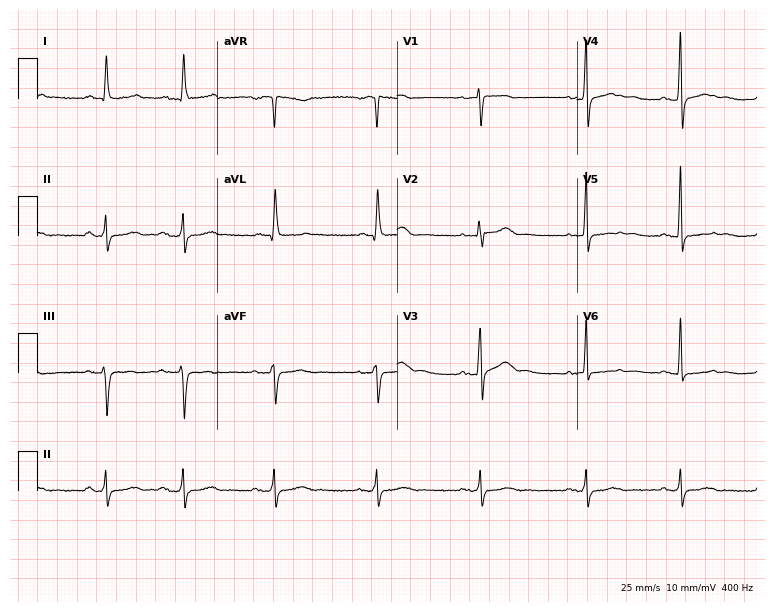
ECG — a 71-year-old female. Labelled as a normal ECG.